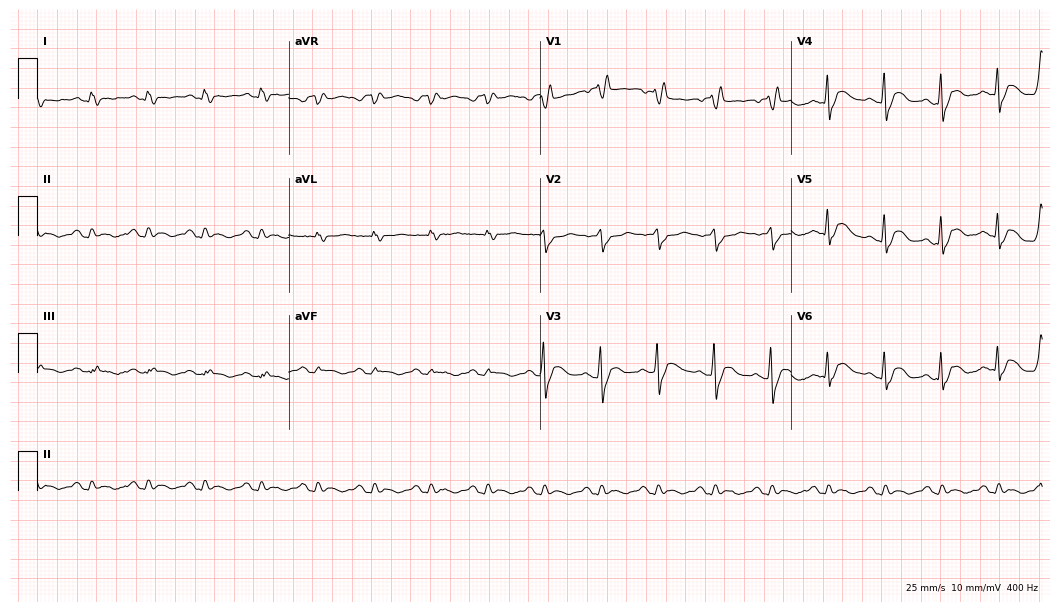
Electrocardiogram, a male, 67 years old. Of the six screened findings (first-degree AV block, right bundle branch block (RBBB), left bundle branch block (LBBB), sinus bradycardia, atrial fibrillation (AF), sinus tachycardia), none is recorded.